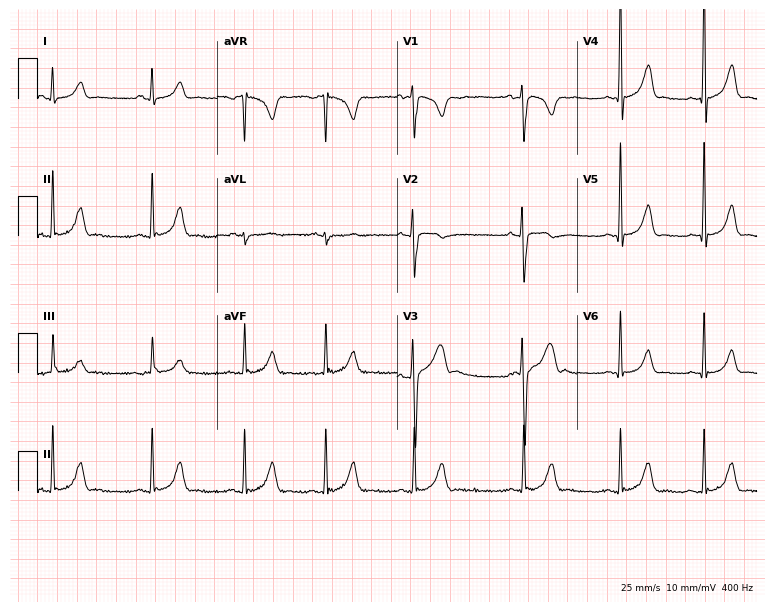
Electrocardiogram (7.3-second recording at 400 Hz), a male patient, 17 years old. Overall reading on record: normal ECG.